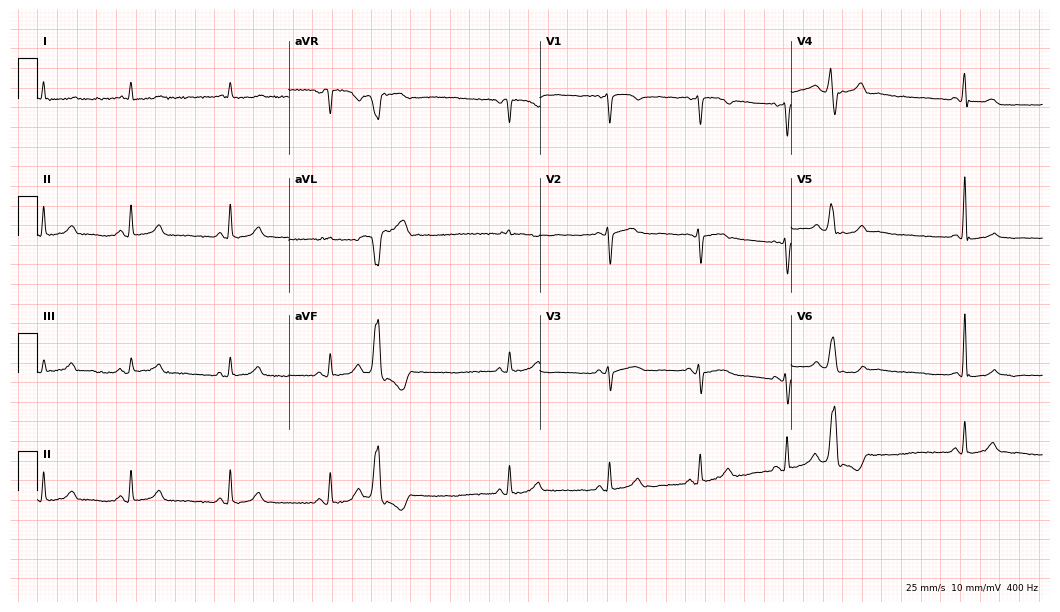
Standard 12-lead ECG recorded from a female patient, 46 years old. None of these six findings is recorded: first-degree AV block, right bundle branch block, left bundle branch block, sinus bradycardia, atrial fibrillation, sinus tachycardia. Other findings, if any, are not listed.